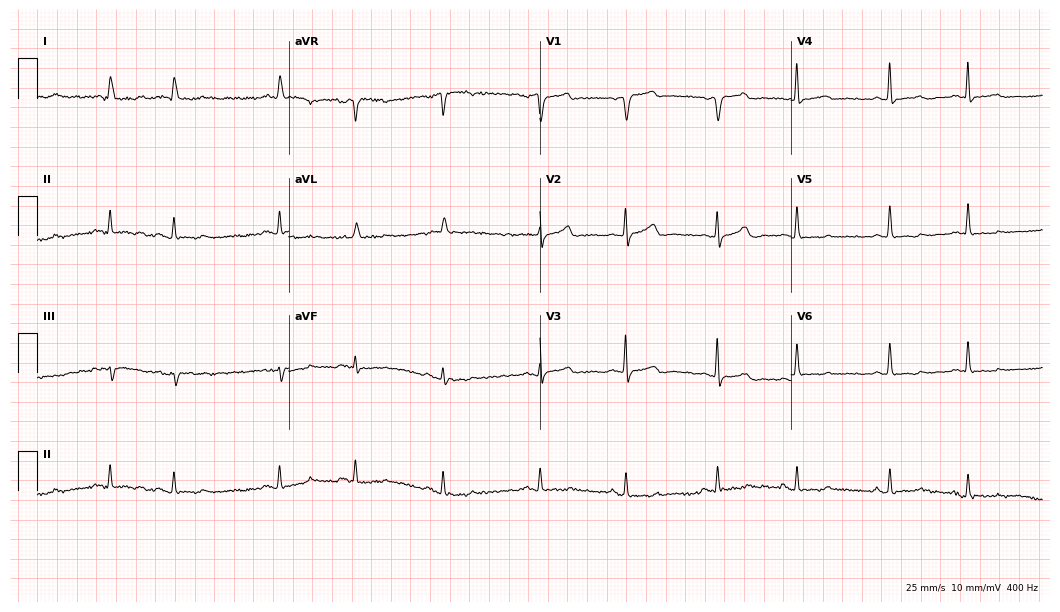
Electrocardiogram (10.2-second recording at 400 Hz), a female patient, 85 years old. Of the six screened findings (first-degree AV block, right bundle branch block, left bundle branch block, sinus bradycardia, atrial fibrillation, sinus tachycardia), none is recorded. Only these six findings were labelled.